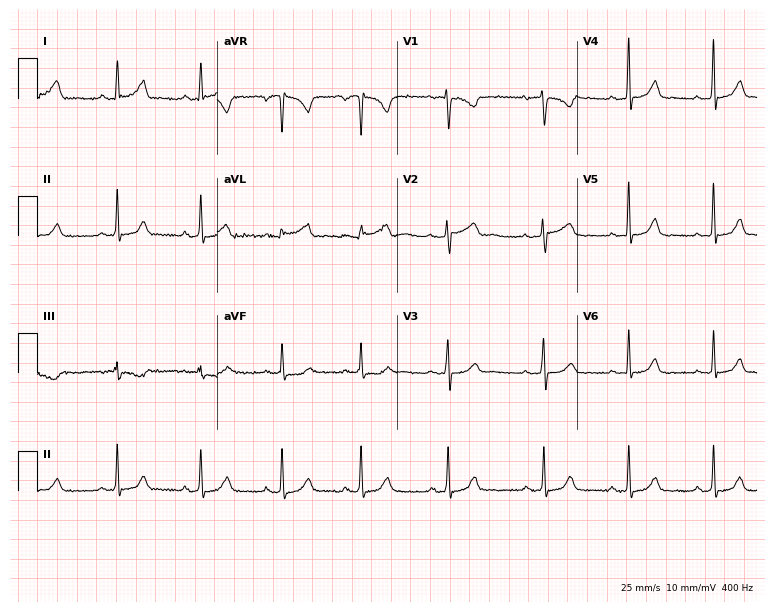
Resting 12-lead electrocardiogram. Patient: a woman, 29 years old. Read as a normal ECG.